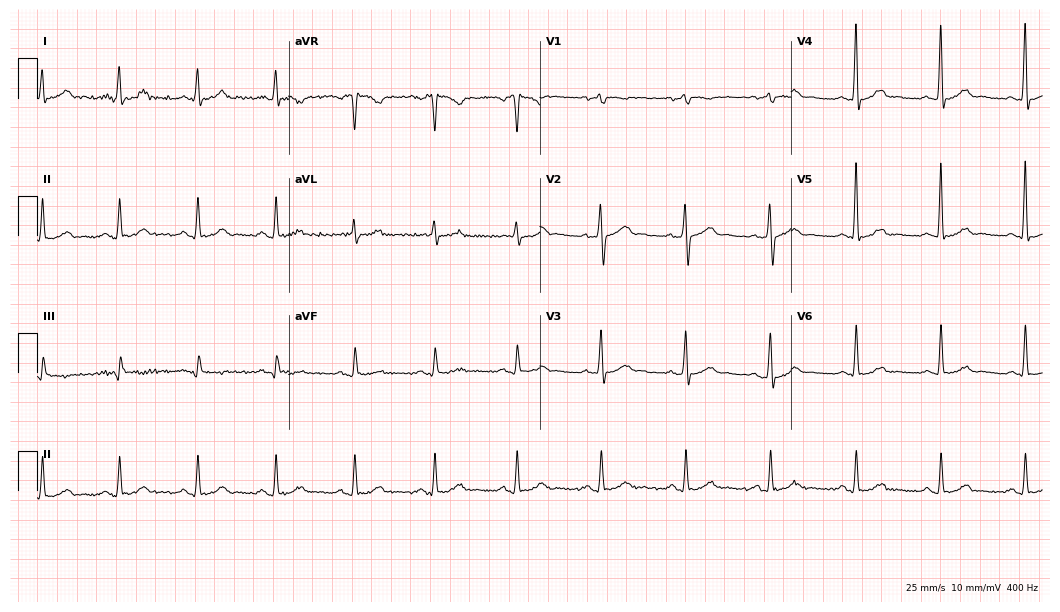
Standard 12-lead ECG recorded from a man, 53 years old. Read as a normal ECG.